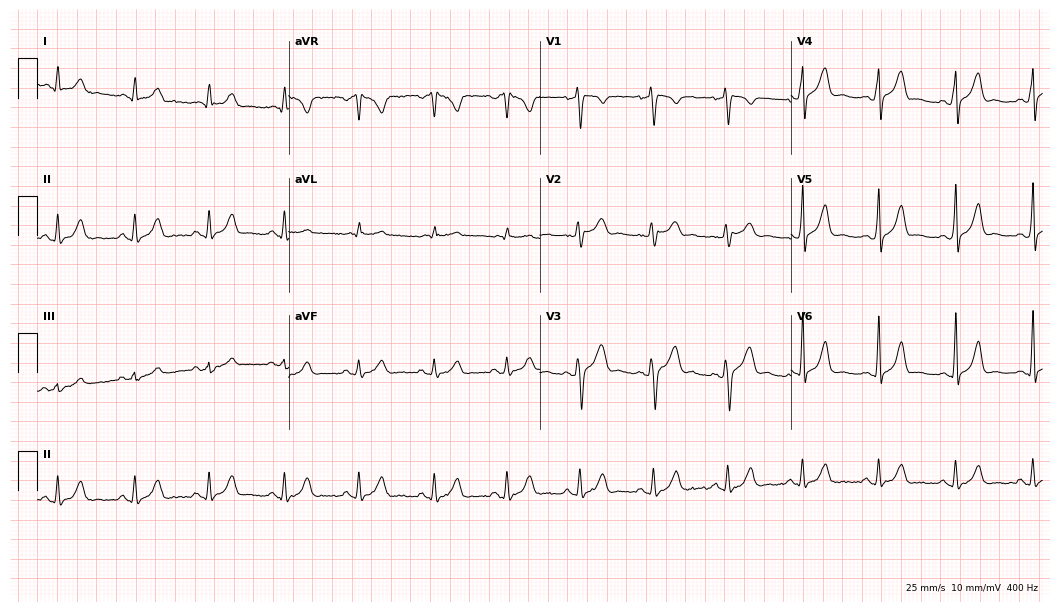
Resting 12-lead electrocardiogram (10.2-second recording at 400 Hz). Patient: a 37-year-old man. Read as a normal ECG.